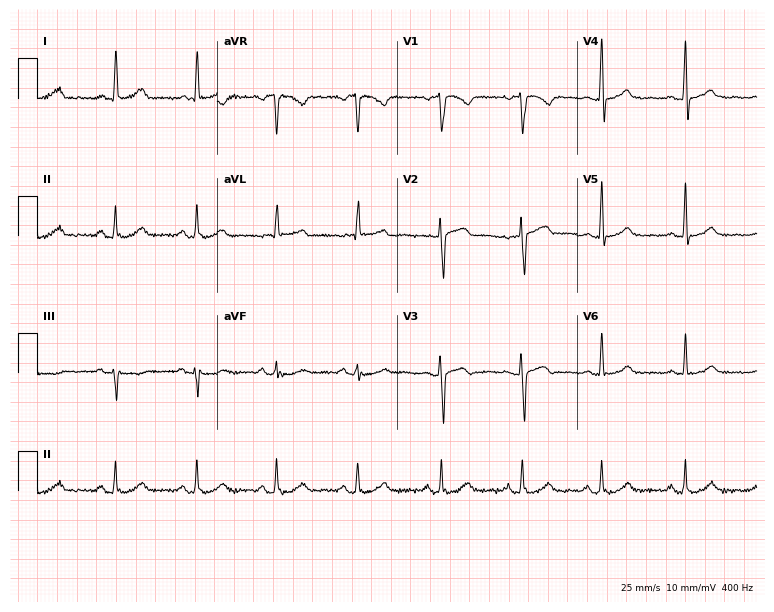
Electrocardiogram, a 56-year-old woman. Overall reading on record: normal ECG.